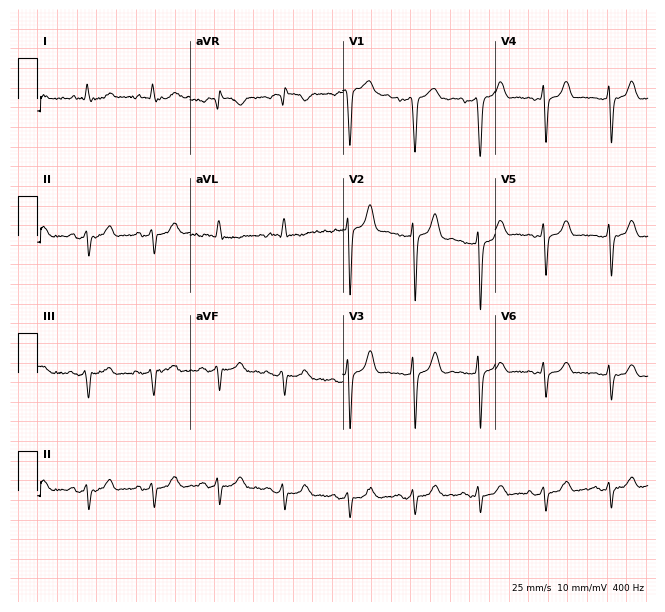
12-lead ECG from a male, 79 years old. Screened for six findings — first-degree AV block, right bundle branch block (RBBB), left bundle branch block (LBBB), sinus bradycardia, atrial fibrillation (AF), sinus tachycardia — none is recorded.